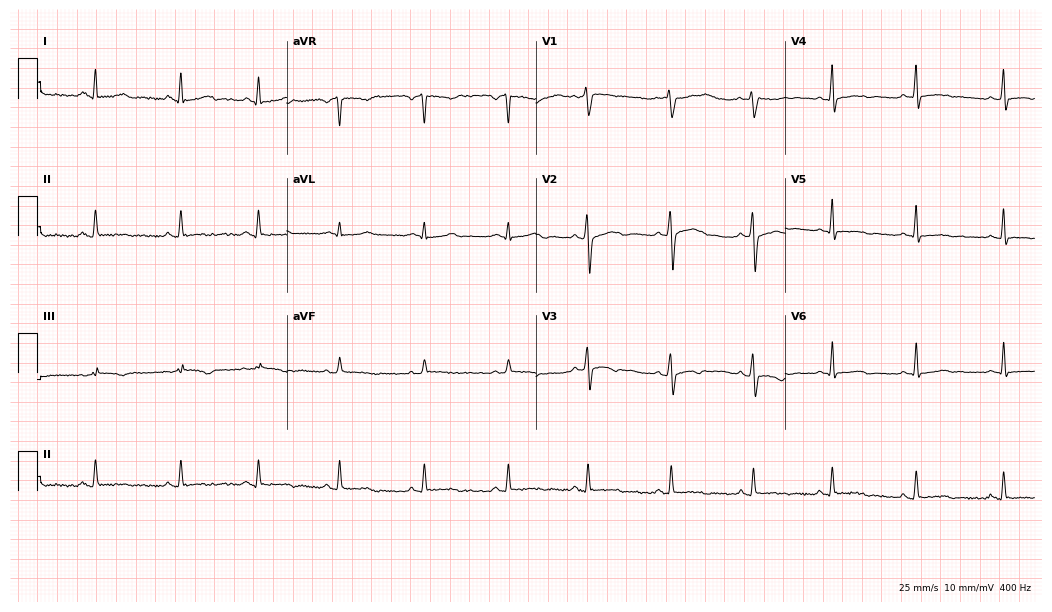
ECG — a 33-year-old female. Screened for six findings — first-degree AV block, right bundle branch block, left bundle branch block, sinus bradycardia, atrial fibrillation, sinus tachycardia — none is recorded. Other findings, if any, are not listed.